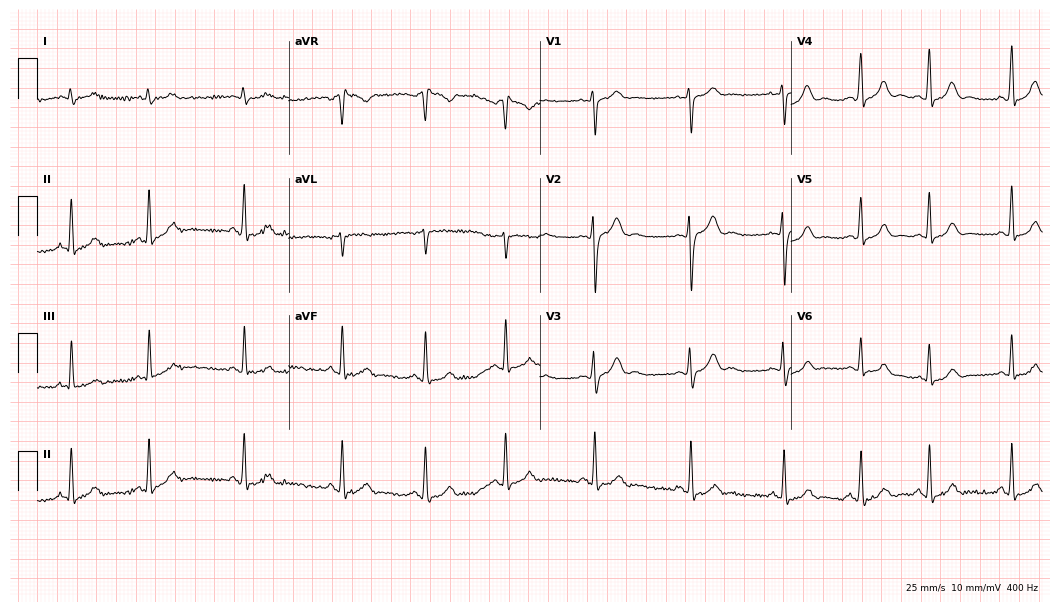
ECG (10.2-second recording at 400 Hz) — a 19-year-old male patient. Labelled as a normal ECG.